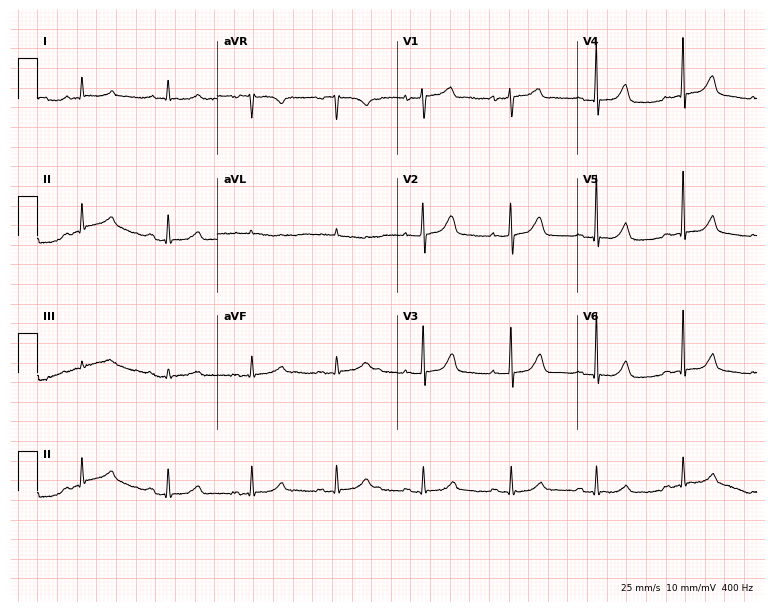
Resting 12-lead electrocardiogram (7.3-second recording at 400 Hz). Patient: a 64-year-old woman. None of these six findings is recorded: first-degree AV block, right bundle branch block, left bundle branch block, sinus bradycardia, atrial fibrillation, sinus tachycardia. Only these six findings were labelled.